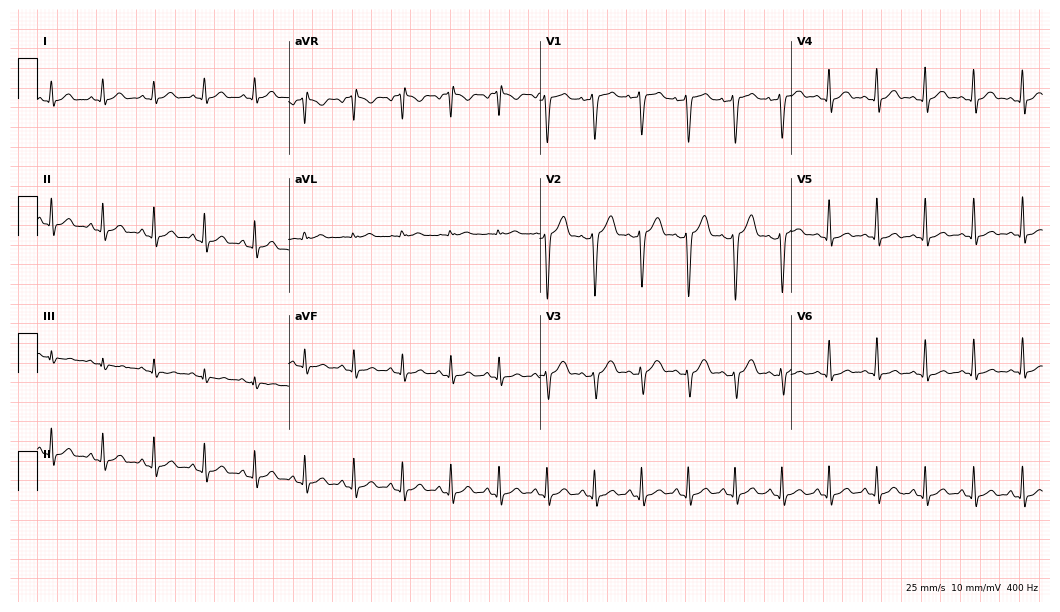
Resting 12-lead electrocardiogram. Patient: a man, 29 years old. None of these six findings is recorded: first-degree AV block, right bundle branch block, left bundle branch block, sinus bradycardia, atrial fibrillation, sinus tachycardia.